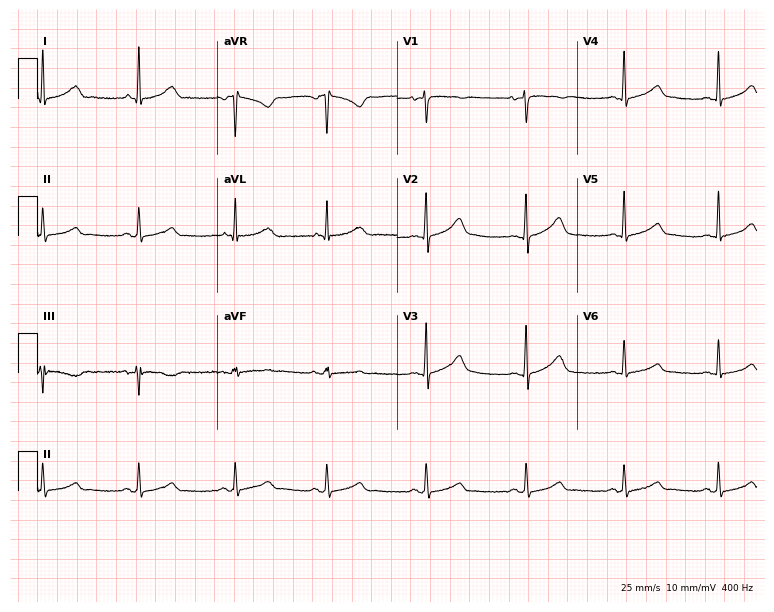
Electrocardiogram (7.3-second recording at 400 Hz), a male patient, 22 years old. Overall reading on record: normal ECG.